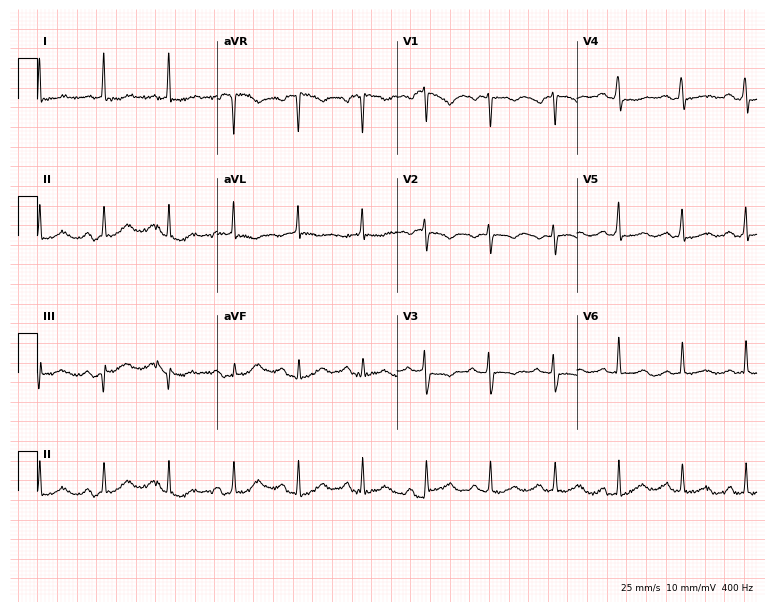
Electrocardiogram, a woman, 62 years old. Of the six screened findings (first-degree AV block, right bundle branch block, left bundle branch block, sinus bradycardia, atrial fibrillation, sinus tachycardia), none is recorded.